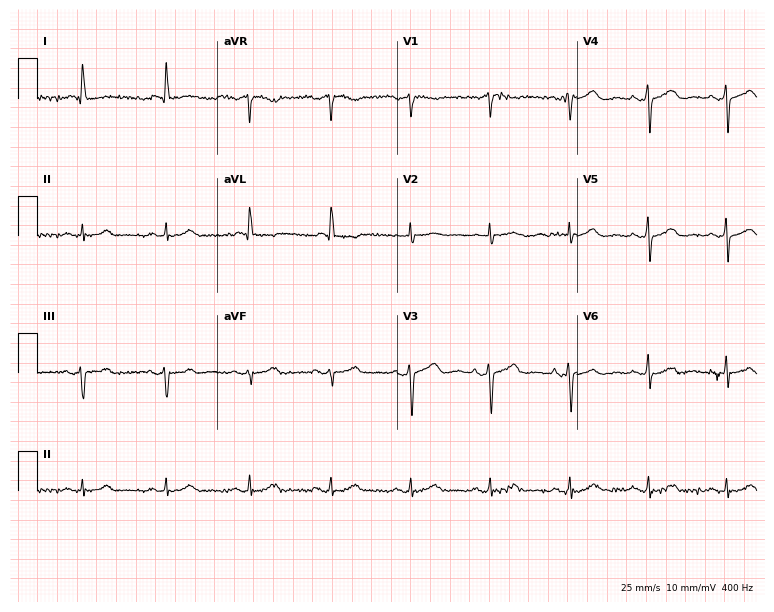
ECG (7.3-second recording at 400 Hz) — a woman, 67 years old. Labelled as a normal ECG.